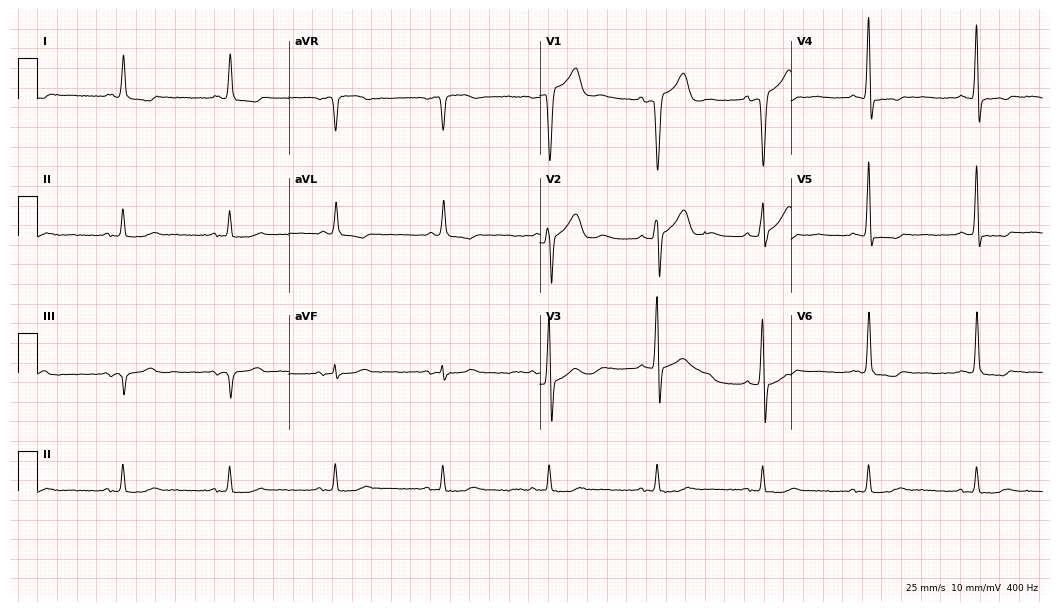
12-lead ECG from a male, 61 years old. Screened for six findings — first-degree AV block, right bundle branch block (RBBB), left bundle branch block (LBBB), sinus bradycardia, atrial fibrillation (AF), sinus tachycardia — none is recorded. Only these six findings were labelled.